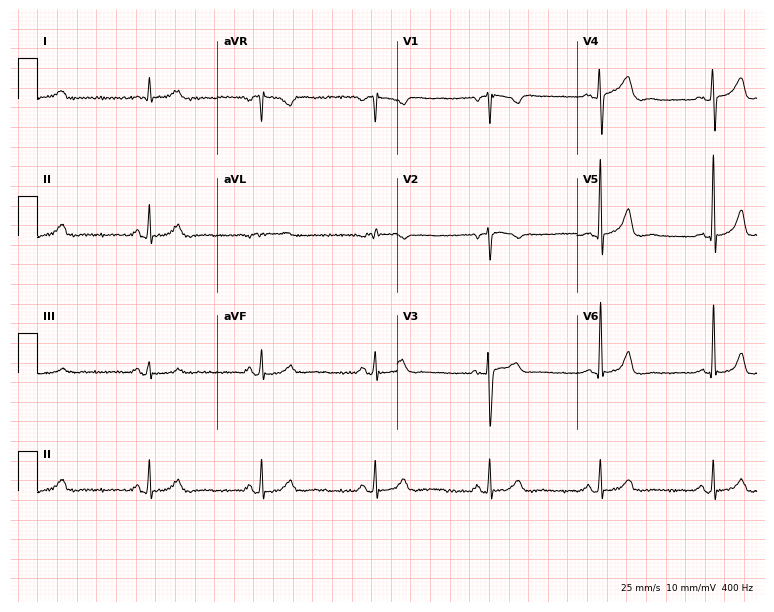
12-lead ECG (7.3-second recording at 400 Hz) from a woman, 61 years old. Labelled as a normal ECG.